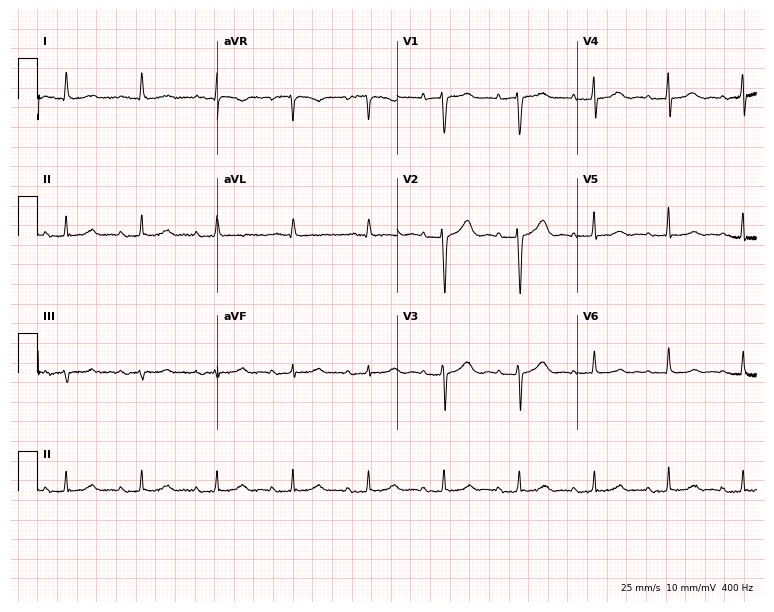
12-lead ECG (7.3-second recording at 400 Hz) from a 76-year-old woman. Screened for six findings — first-degree AV block, right bundle branch block (RBBB), left bundle branch block (LBBB), sinus bradycardia, atrial fibrillation (AF), sinus tachycardia — none is recorded.